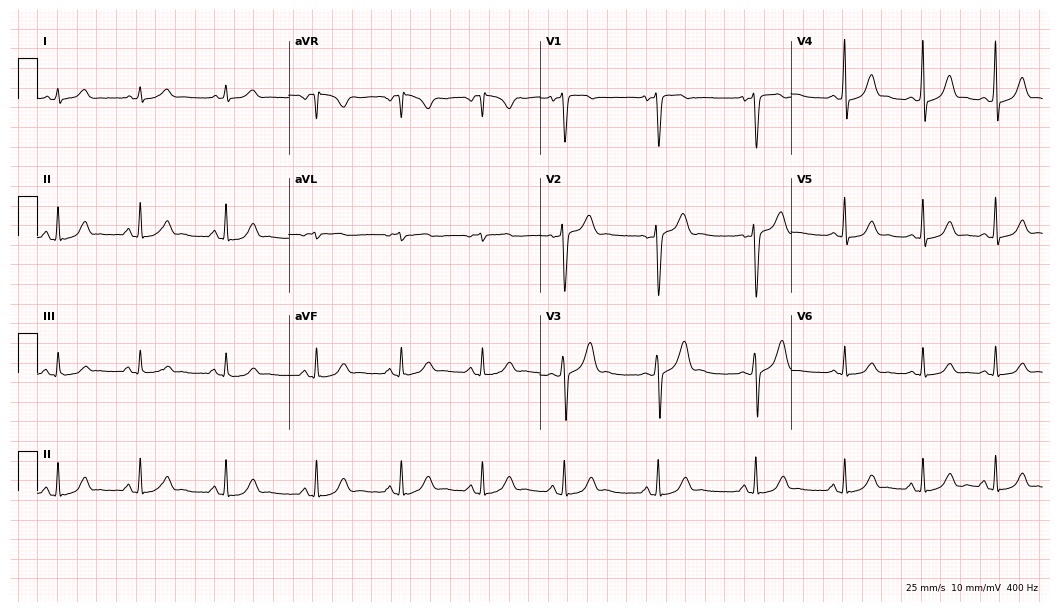
12-lead ECG from a male patient, 27 years old (10.2-second recording at 400 Hz). Recorded interpretation: within normal limits.